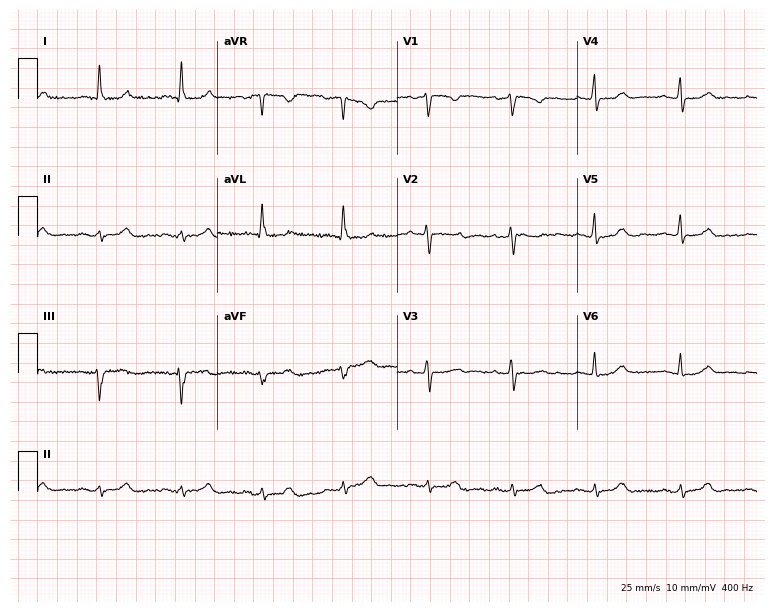
Resting 12-lead electrocardiogram. Patient: a woman, 53 years old. Read as a normal ECG.